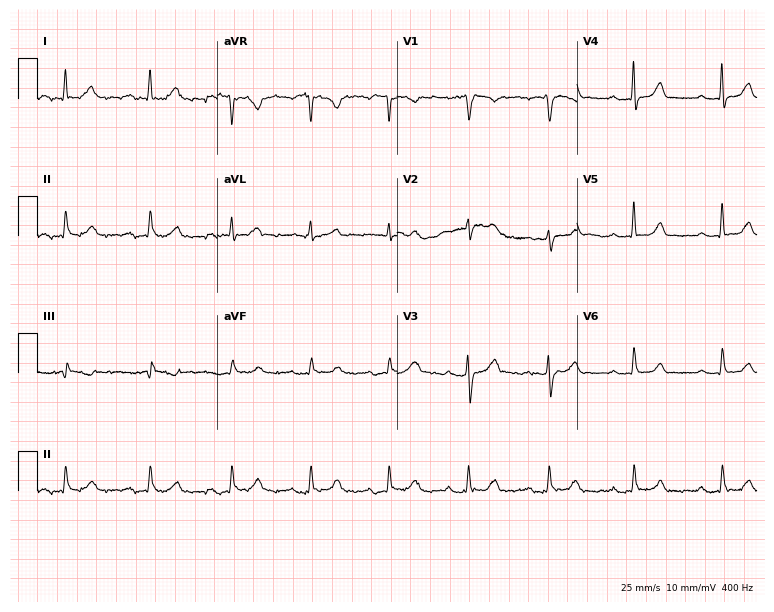
Resting 12-lead electrocardiogram (7.3-second recording at 400 Hz). Patient: a 49-year-old female. The tracing shows first-degree AV block.